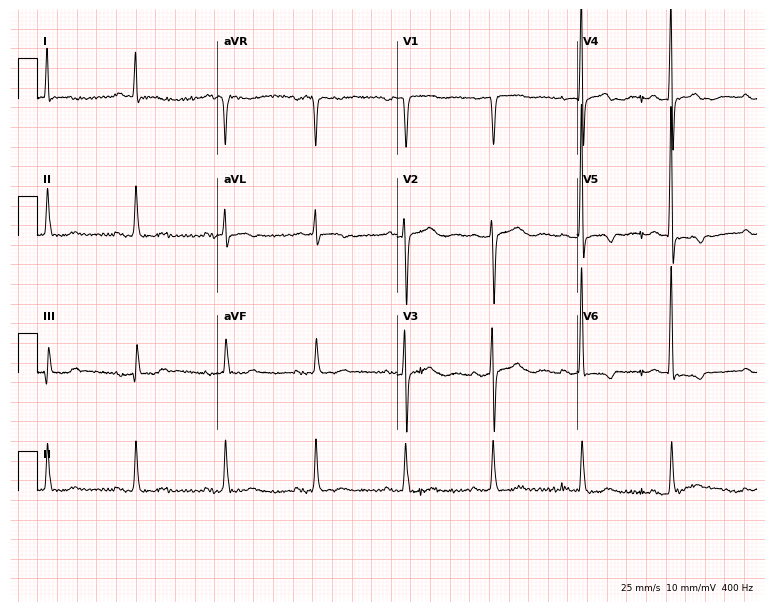
Standard 12-lead ECG recorded from a female patient, 71 years old (7.3-second recording at 400 Hz). None of these six findings is recorded: first-degree AV block, right bundle branch block (RBBB), left bundle branch block (LBBB), sinus bradycardia, atrial fibrillation (AF), sinus tachycardia.